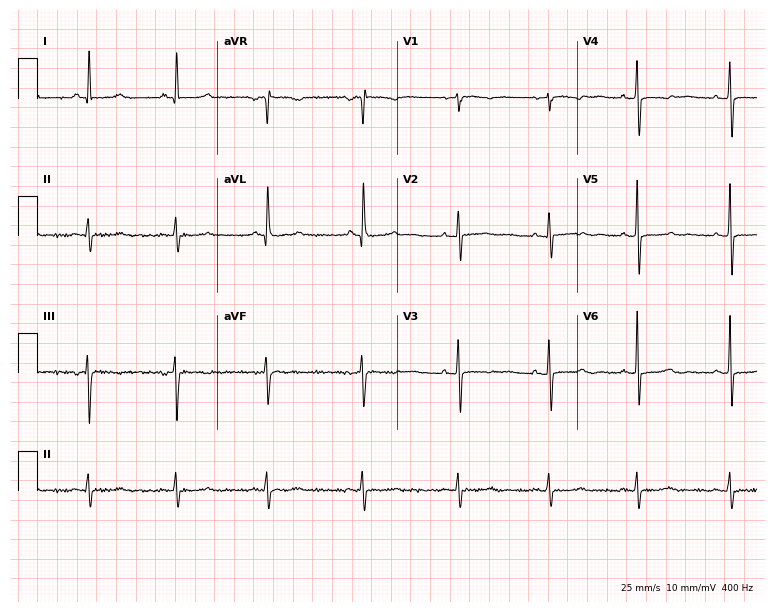
Electrocardiogram (7.3-second recording at 400 Hz), a 57-year-old woman. Of the six screened findings (first-degree AV block, right bundle branch block, left bundle branch block, sinus bradycardia, atrial fibrillation, sinus tachycardia), none is recorded.